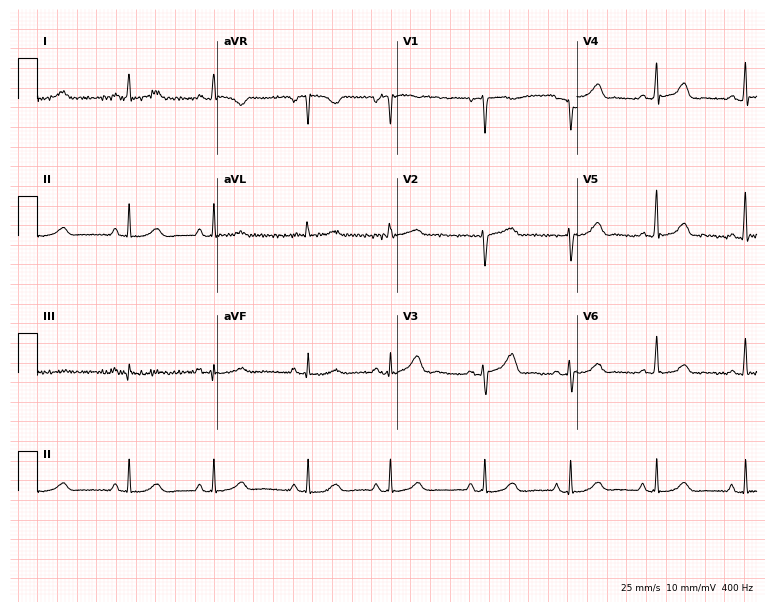
Standard 12-lead ECG recorded from a female patient, 41 years old (7.3-second recording at 400 Hz). Read as a normal ECG.